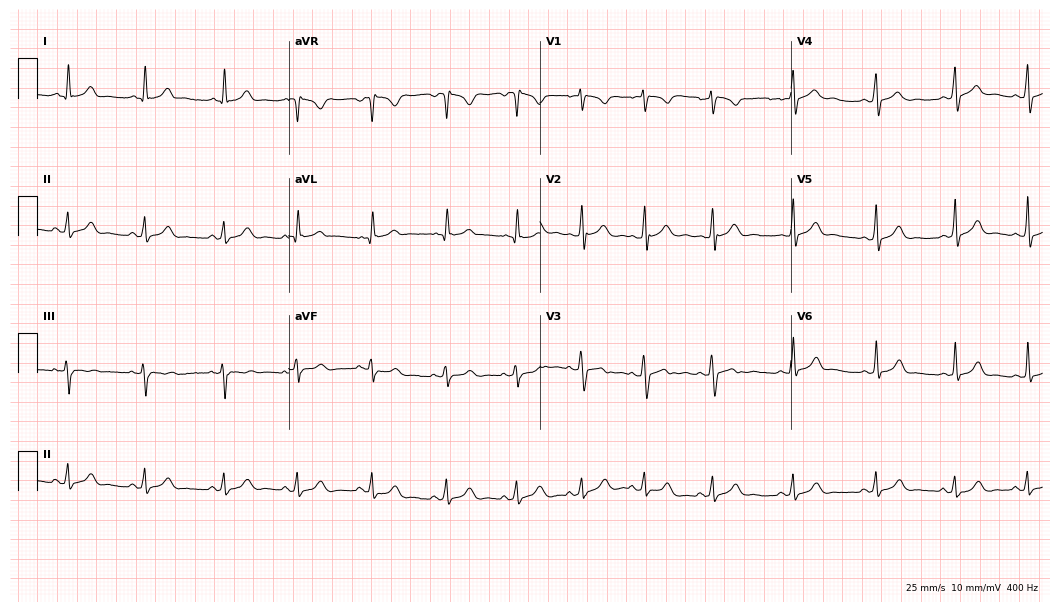
Resting 12-lead electrocardiogram (10.2-second recording at 400 Hz). Patient: a woman, 17 years old. Read as a normal ECG.